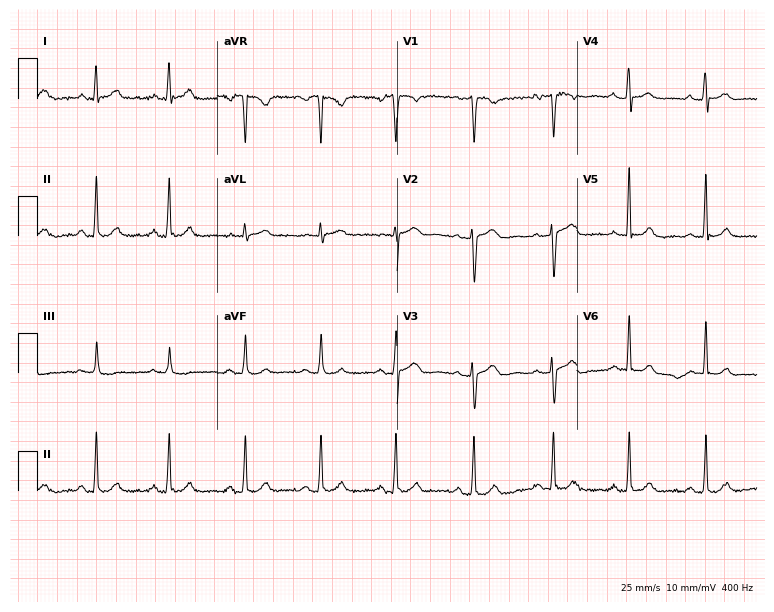
ECG (7.3-second recording at 400 Hz) — a 39-year-old female patient. Labelled as a normal ECG.